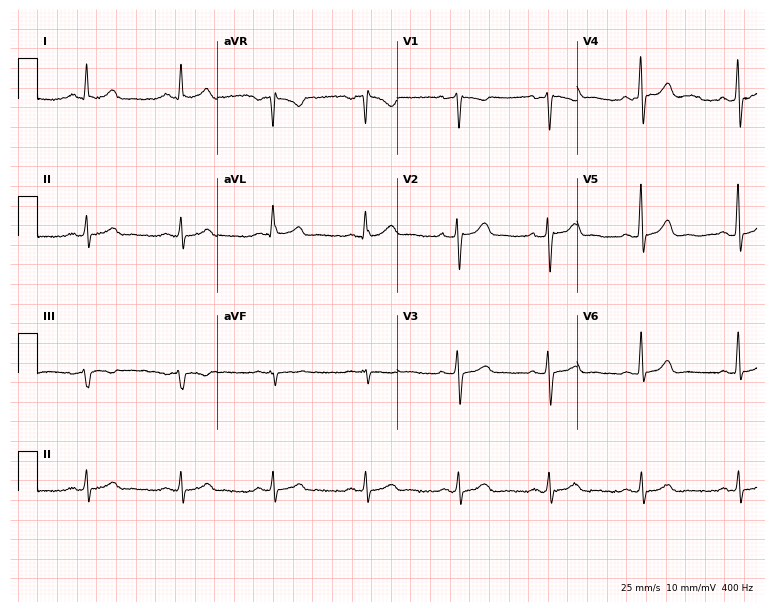
Resting 12-lead electrocardiogram (7.3-second recording at 400 Hz). Patient: a 43-year-old male. Read as a normal ECG.